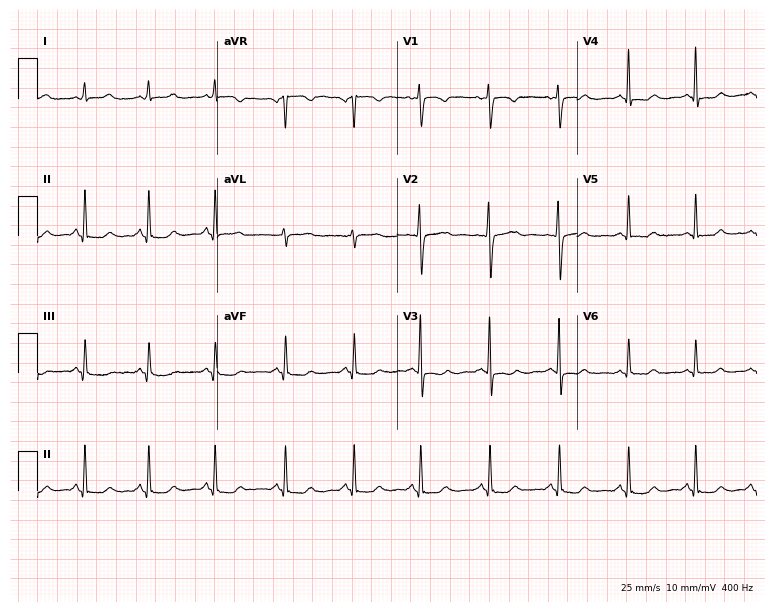
Standard 12-lead ECG recorded from a 23-year-old female. Read as a normal ECG.